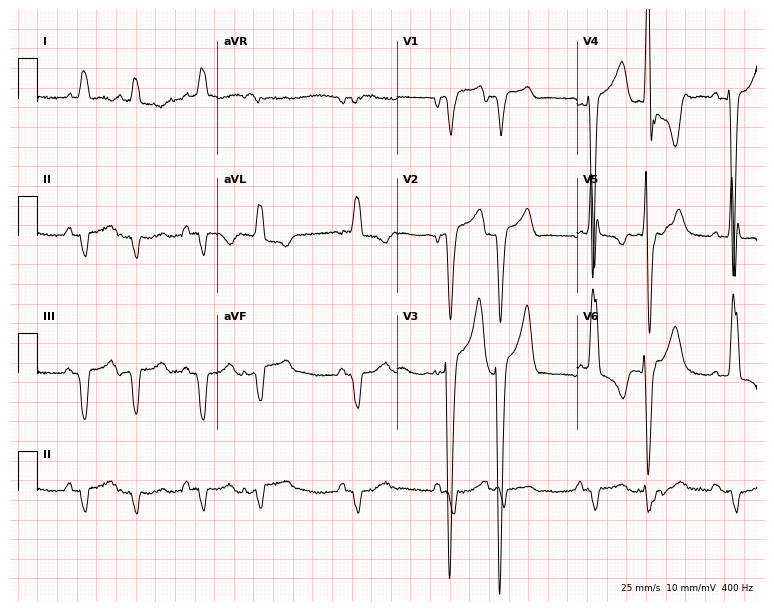
Standard 12-lead ECG recorded from a man, 62 years old (7.3-second recording at 400 Hz). The tracing shows left bundle branch block.